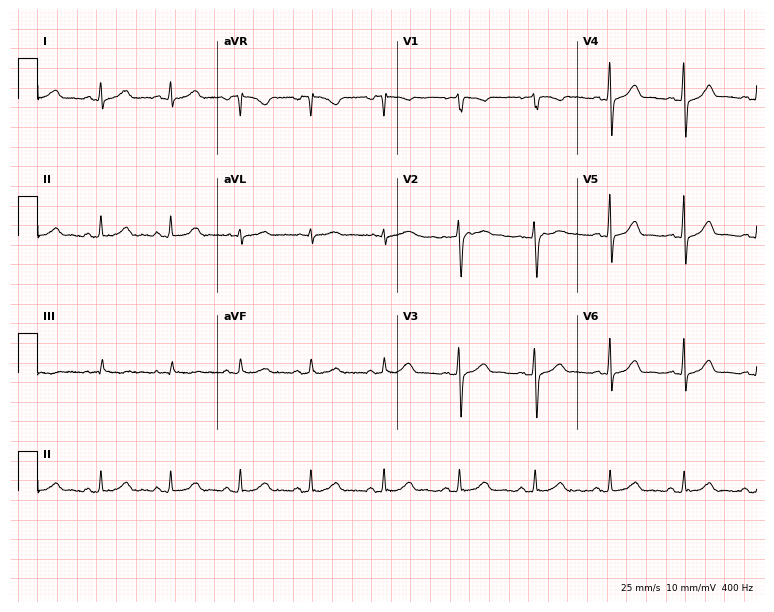
Electrocardiogram (7.3-second recording at 400 Hz), a 54-year-old woman. Overall reading on record: normal ECG.